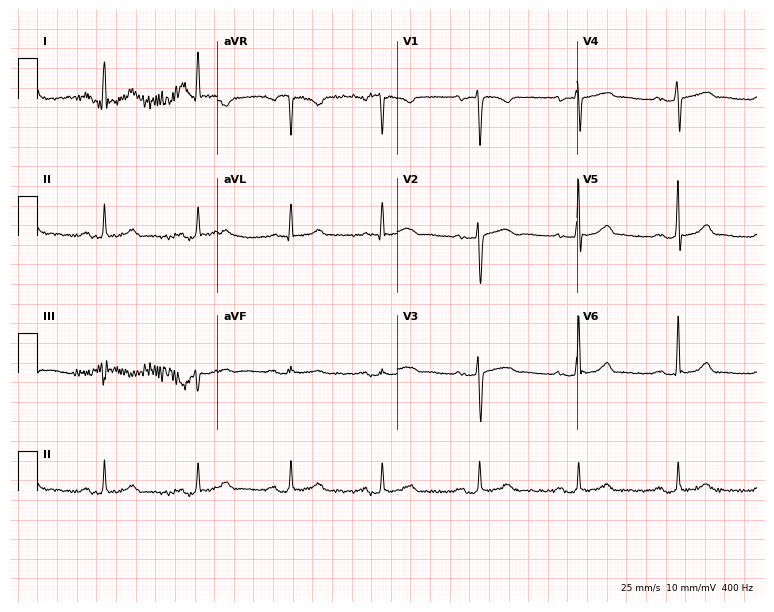
Standard 12-lead ECG recorded from a female, 32 years old (7.3-second recording at 400 Hz). The tracing shows first-degree AV block.